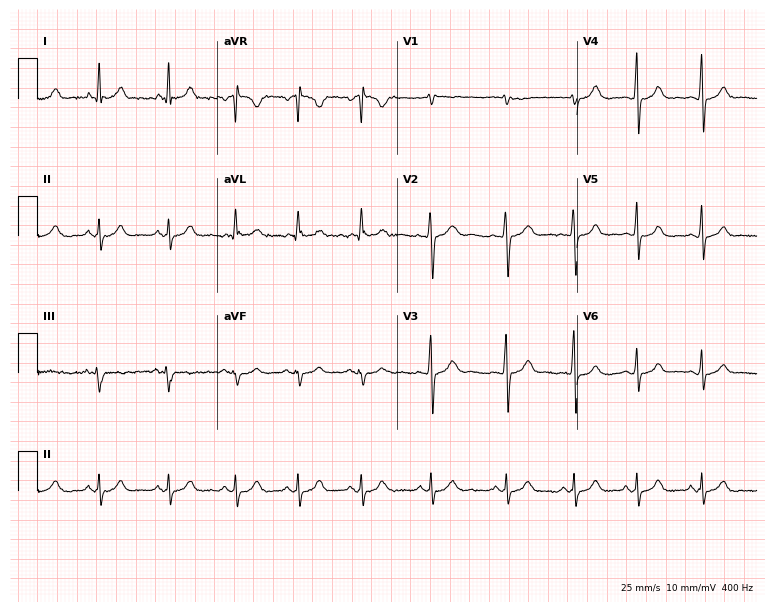
ECG (7.3-second recording at 400 Hz) — a 32-year-old female patient. Labelled as a normal ECG.